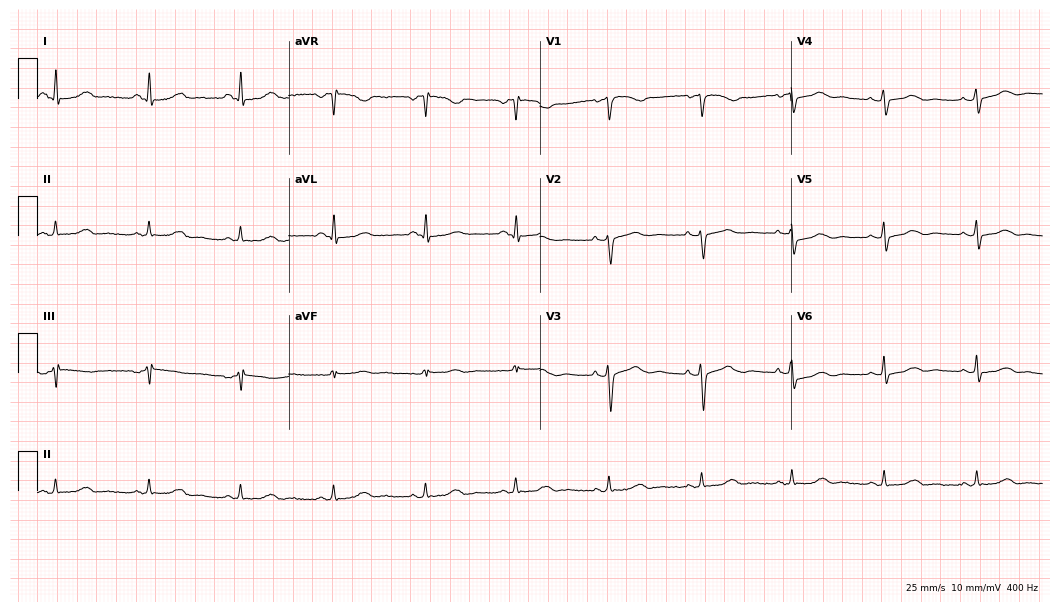
Resting 12-lead electrocardiogram. Patient: a female, 45 years old. Read as a normal ECG.